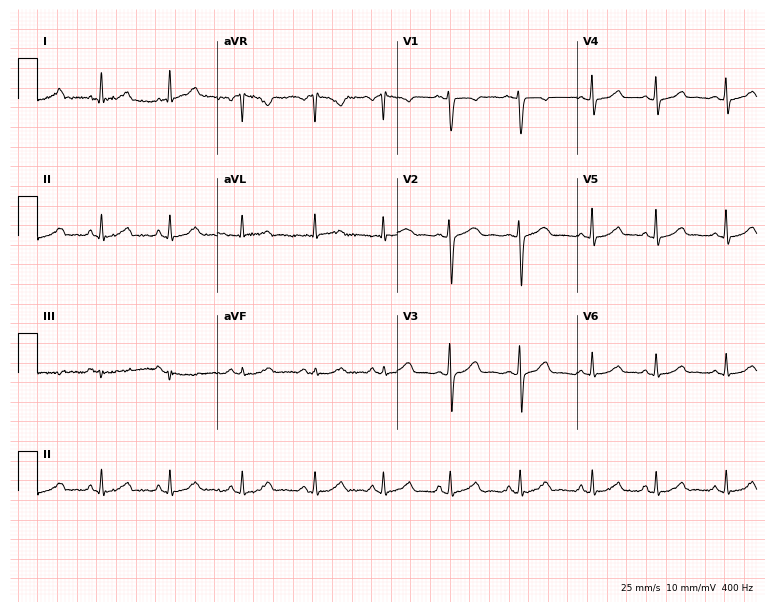
Resting 12-lead electrocardiogram (7.3-second recording at 400 Hz). Patient: a female, 36 years old. Read as a normal ECG.